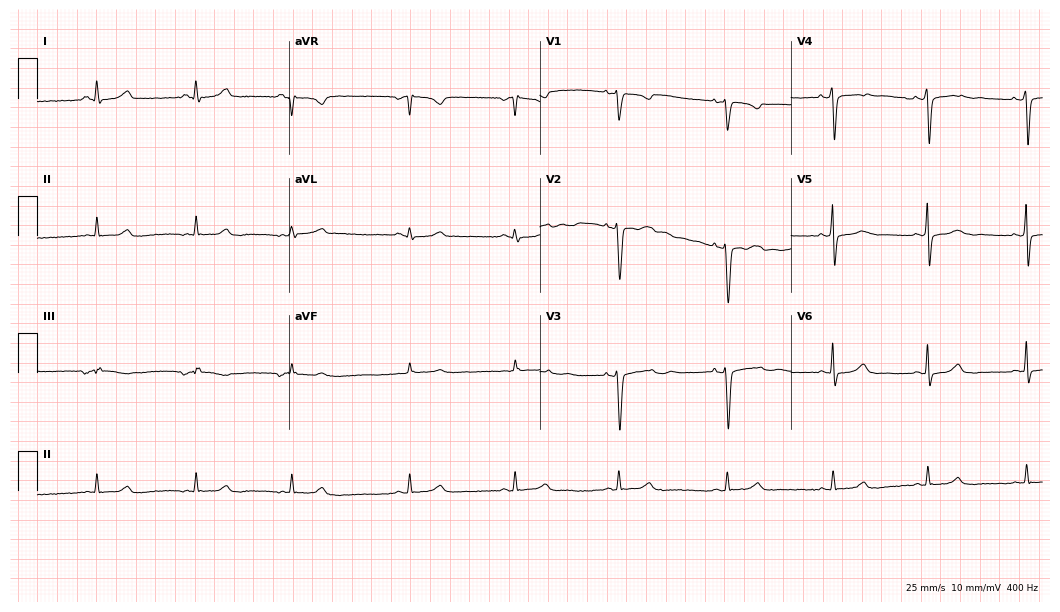
Resting 12-lead electrocardiogram. Patient: a female, 25 years old. Read as a normal ECG.